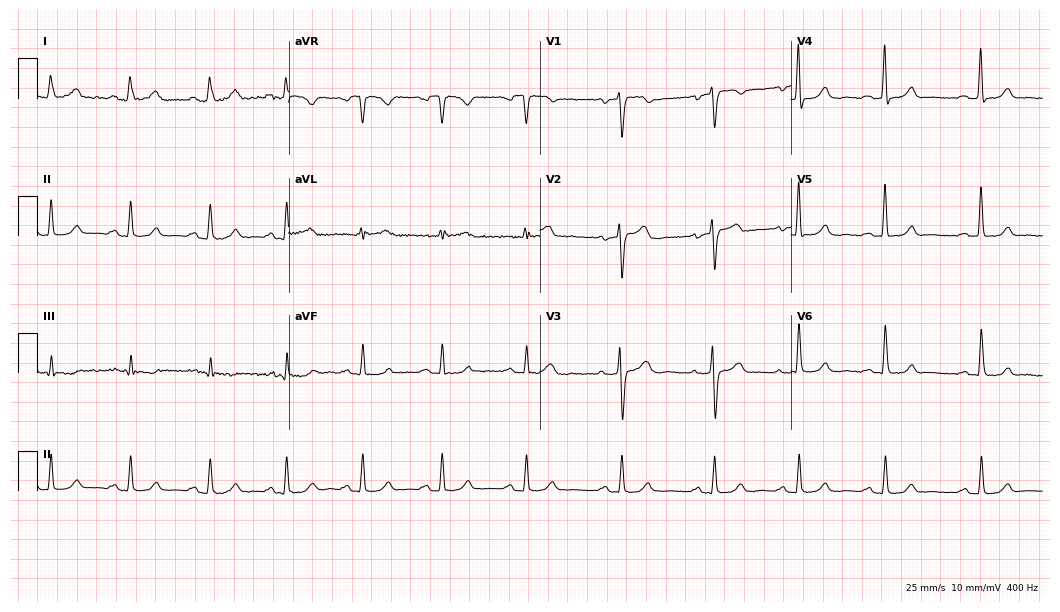
ECG — a woman, 43 years old. Labelled as a normal ECG.